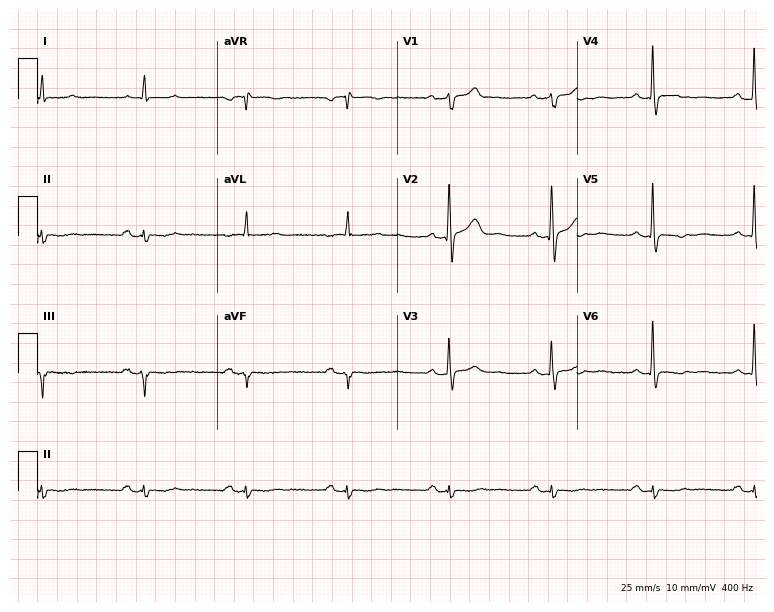
ECG (7.3-second recording at 400 Hz) — a male, 70 years old. Screened for six findings — first-degree AV block, right bundle branch block (RBBB), left bundle branch block (LBBB), sinus bradycardia, atrial fibrillation (AF), sinus tachycardia — none is recorded. Only these six findings were labelled.